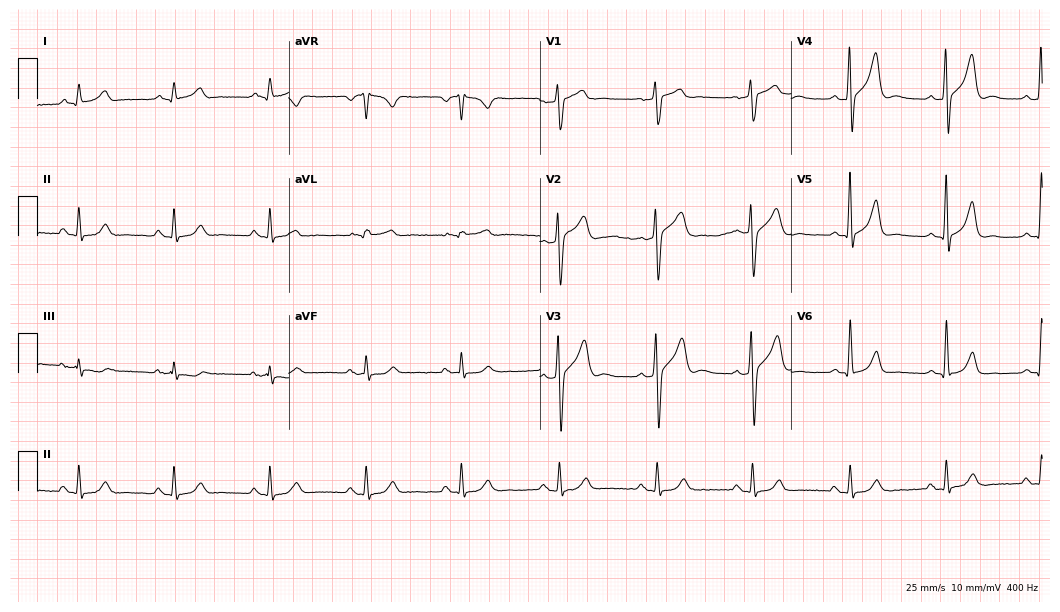
Resting 12-lead electrocardiogram. Patient: a male, 55 years old. Read as a normal ECG.